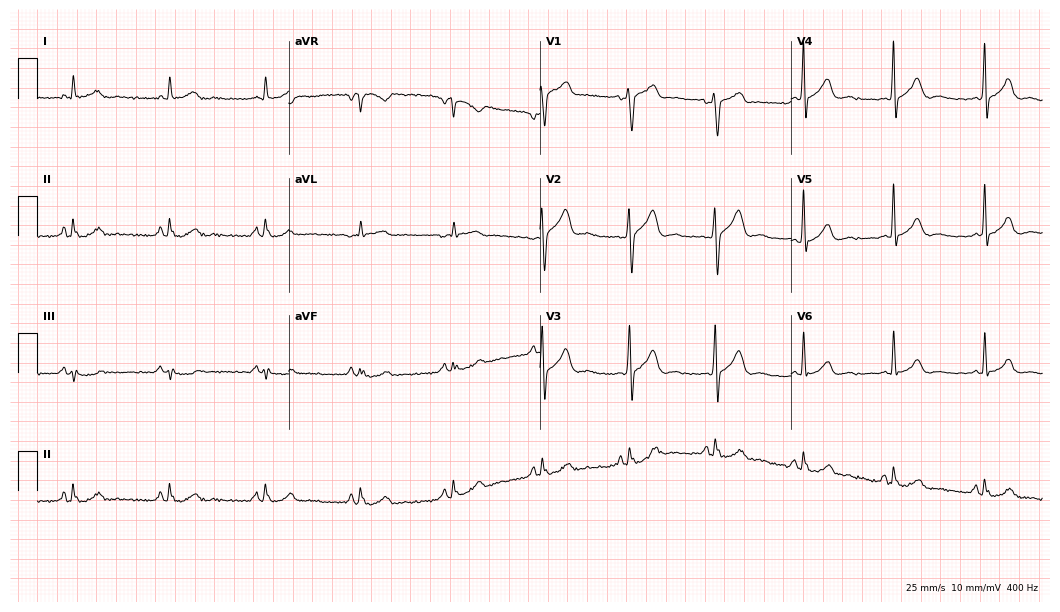
12-lead ECG from a 39-year-old man (10.2-second recording at 400 Hz). Recorded interpretation: within normal limits.